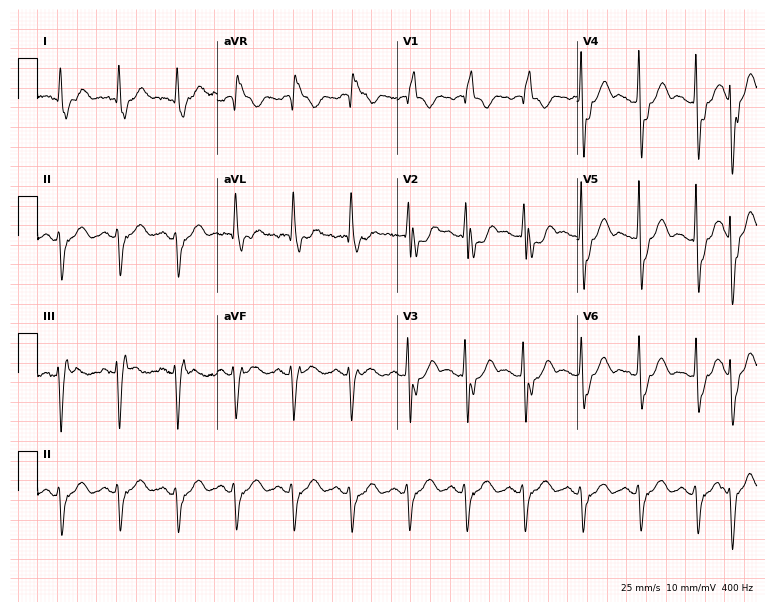
Standard 12-lead ECG recorded from a woman, 84 years old (7.3-second recording at 400 Hz). The tracing shows right bundle branch block, sinus tachycardia (a sinus rate of 100 beats per minute or more).